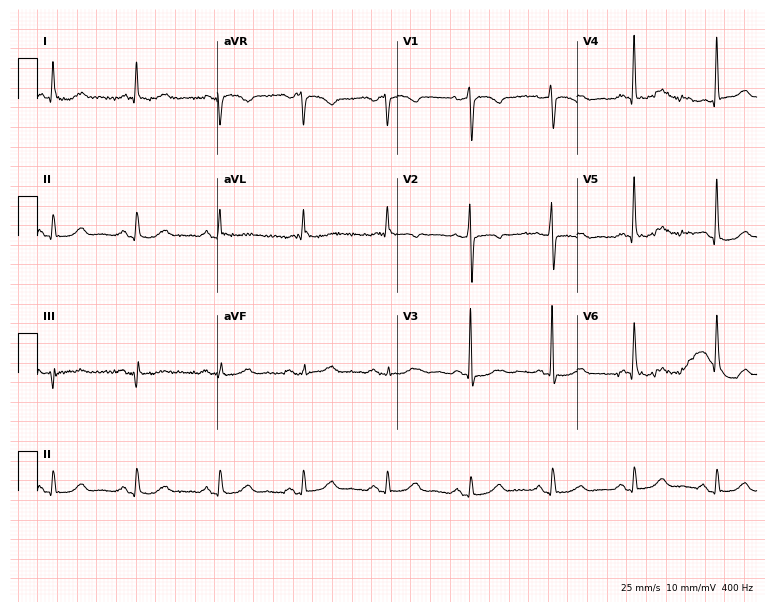
12-lead ECG from a 72-year-old woman (7.3-second recording at 400 Hz). No first-degree AV block, right bundle branch block, left bundle branch block, sinus bradycardia, atrial fibrillation or sinus tachycardia recorded for this tracing.